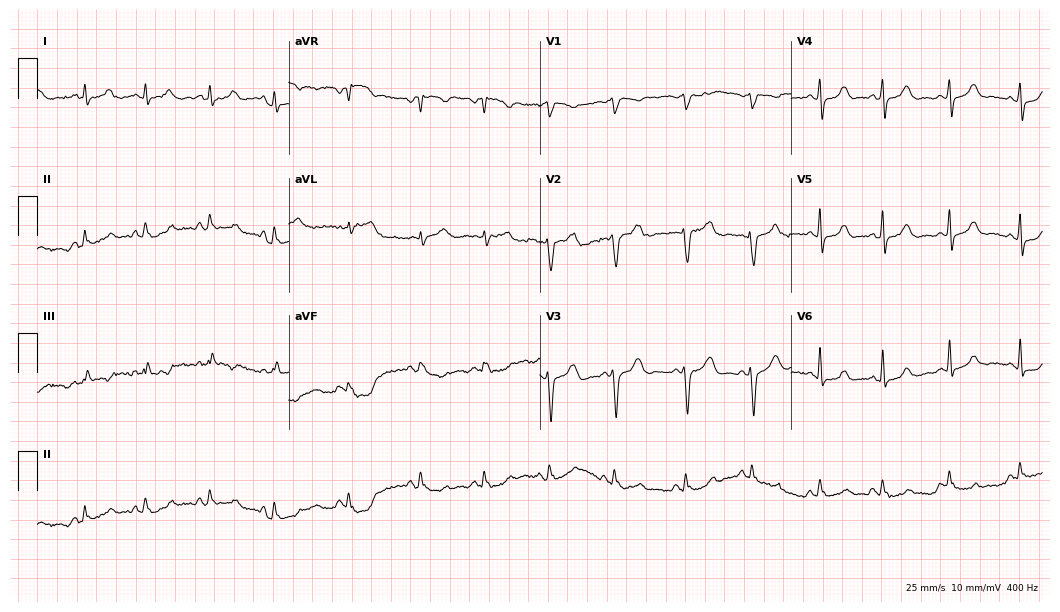
12-lead ECG from a woman, 26 years old. Recorded interpretation: within normal limits.